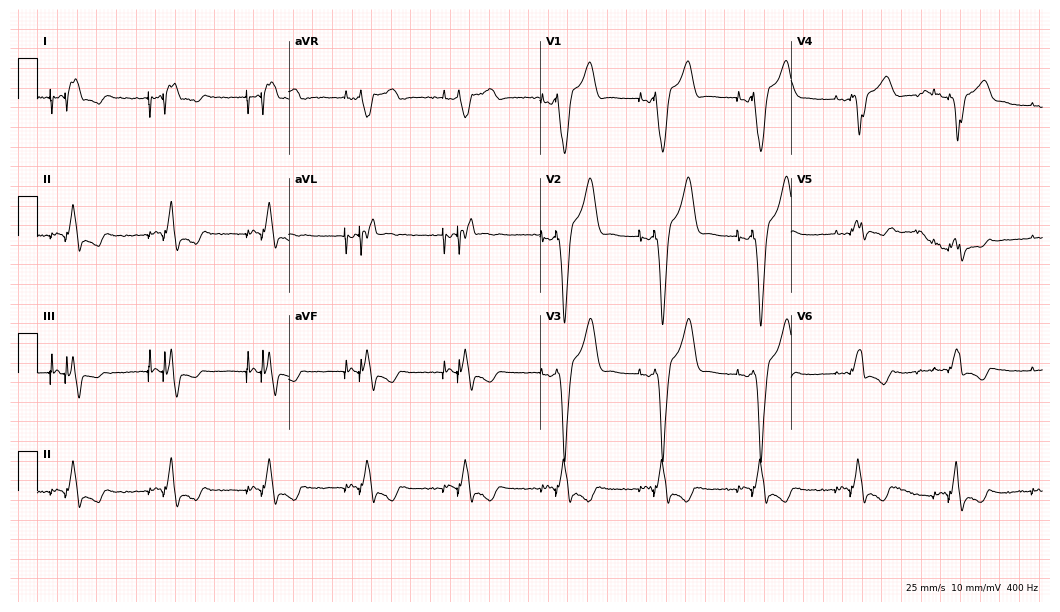
ECG (10.2-second recording at 400 Hz) — a 73-year-old male patient. Screened for six findings — first-degree AV block, right bundle branch block, left bundle branch block, sinus bradycardia, atrial fibrillation, sinus tachycardia — none is recorded.